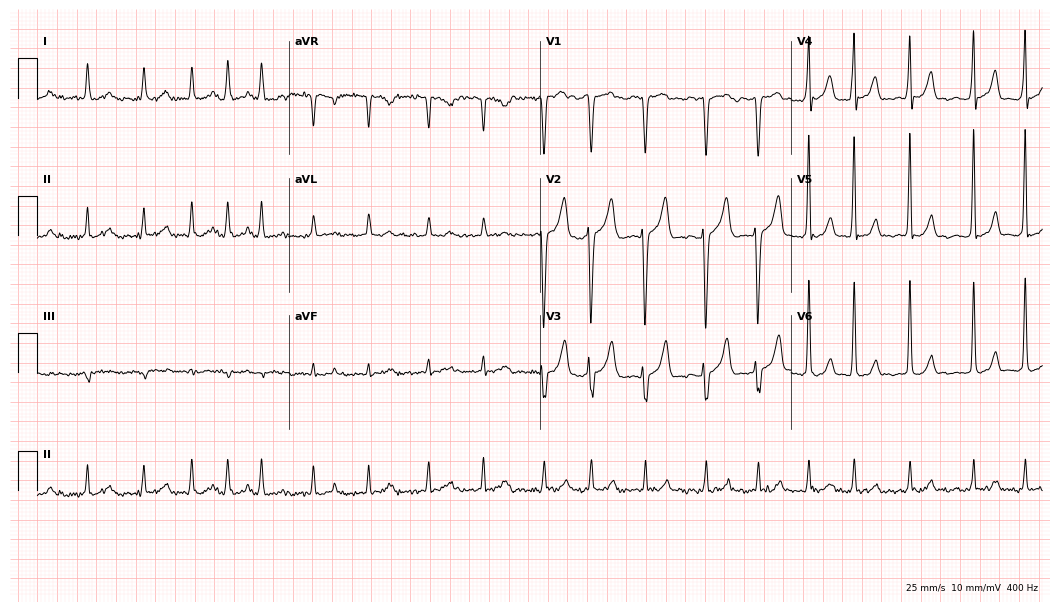
Electrocardiogram (10.2-second recording at 400 Hz), a male, 89 years old. Interpretation includes atrial fibrillation.